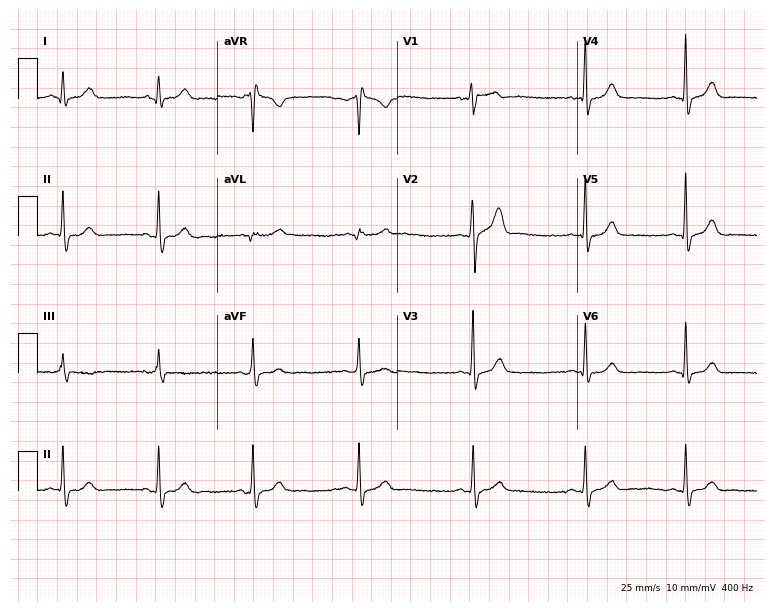
12-lead ECG from a 24-year-old man (7.3-second recording at 400 Hz). Recorded interpretation: within normal limits.